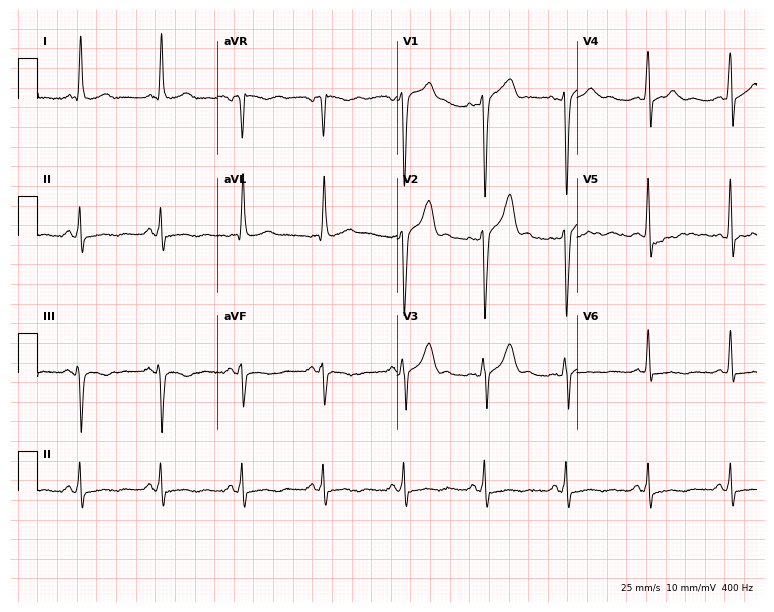
Resting 12-lead electrocardiogram. Patient: a 59-year-old man. None of these six findings is recorded: first-degree AV block, right bundle branch block (RBBB), left bundle branch block (LBBB), sinus bradycardia, atrial fibrillation (AF), sinus tachycardia. Only these six findings were labelled.